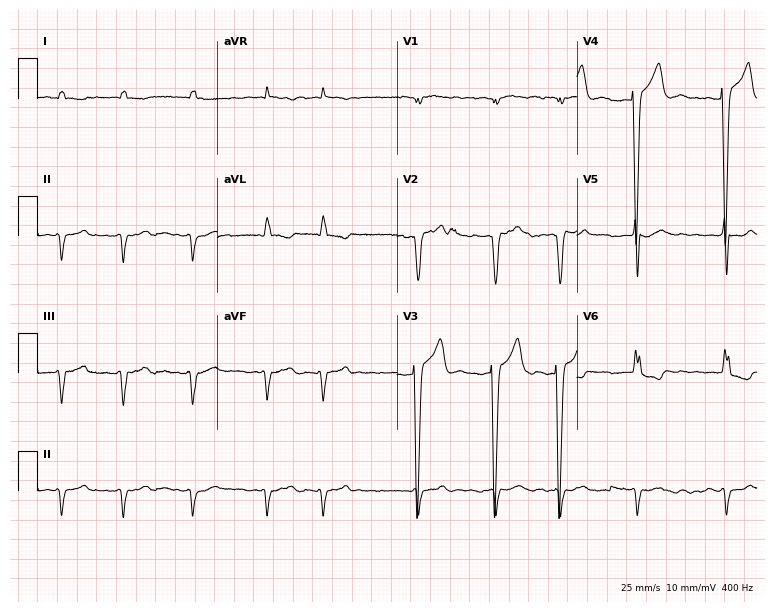
Resting 12-lead electrocardiogram (7.3-second recording at 400 Hz). Patient: a male, 49 years old. The tracing shows atrial fibrillation.